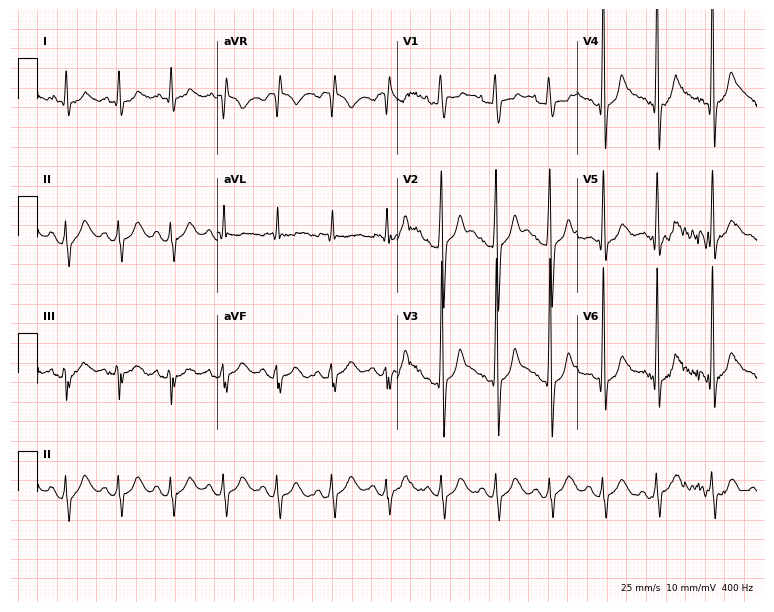
12-lead ECG from a 19-year-old man (7.3-second recording at 400 Hz). Shows sinus tachycardia (a sinus rate of 100 beats per minute or more).